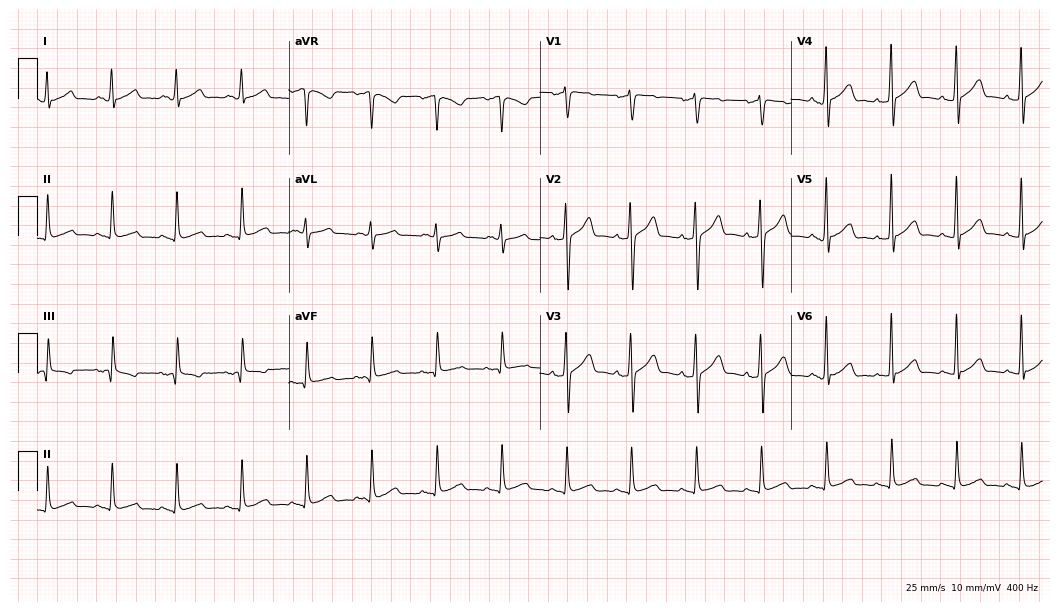
12-lead ECG (10.2-second recording at 400 Hz) from a male patient, 58 years old. Labelled as a normal ECG.